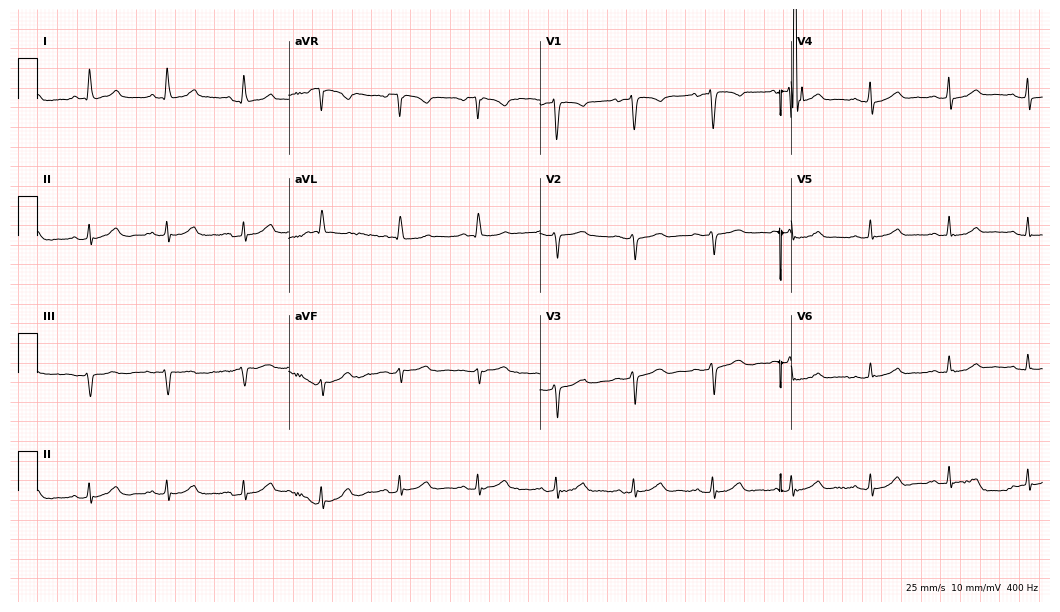
Electrocardiogram (10.2-second recording at 400 Hz), a female patient, 56 years old. Of the six screened findings (first-degree AV block, right bundle branch block, left bundle branch block, sinus bradycardia, atrial fibrillation, sinus tachycardia), none is recorded.